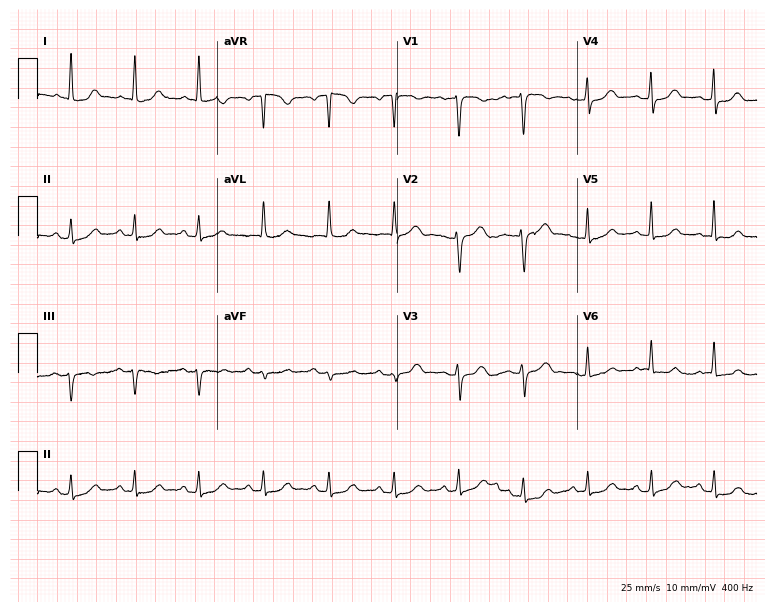
Electrocardiogram, a 53-year-old woman. Overall reading on record: normal ECG.